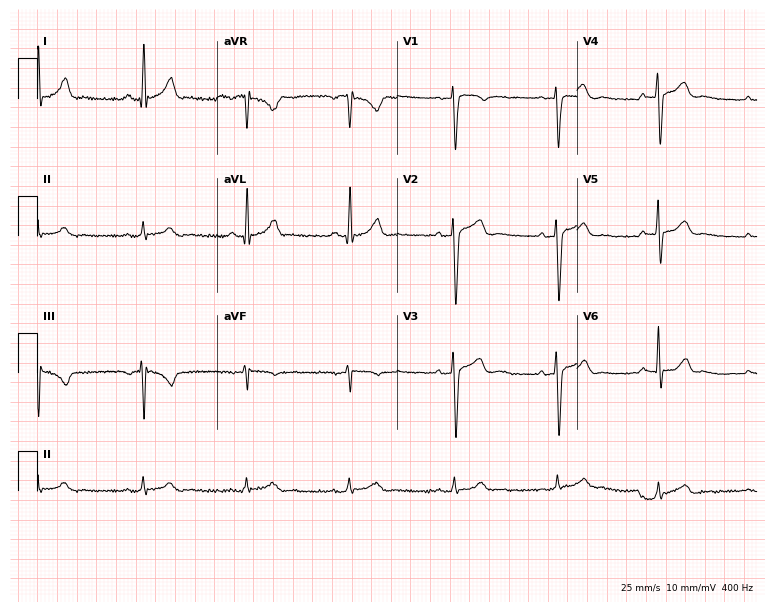
12-lead ECG (7.3-second recording at 400 Hz) from a male, 41 years old. Screened for six findings — first-degree AV block, right bundle branch block, left bundle branch block, sinus bradycardia, atrial fibrillation, sinus tachycardia — none is recorded.